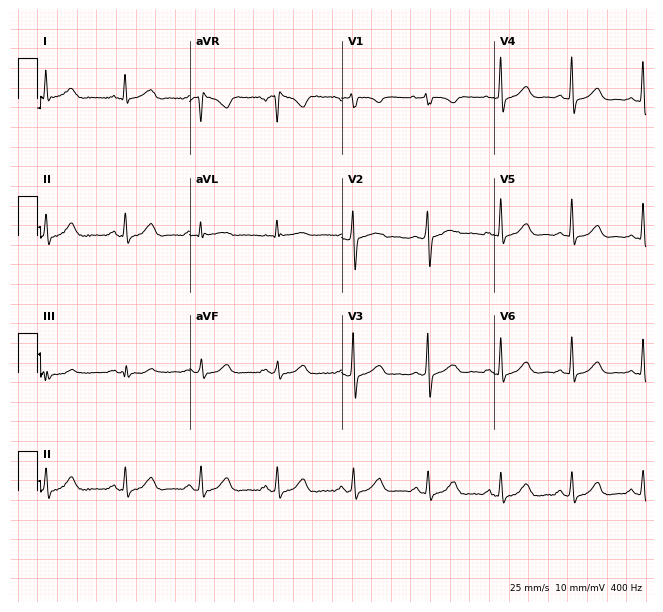
Standard 12-lead ECG recorded from a female patient, 63 years old (6.2-second recording at 400 Hz). None of these six findings is recorded: first-degree AV block, right bundle branch block (RBBB), left bundle branch block (LBBB), sinus bradycardia, atrial fibrillation (AF), sinus tachycardia. Other findings, if any, are not listed.